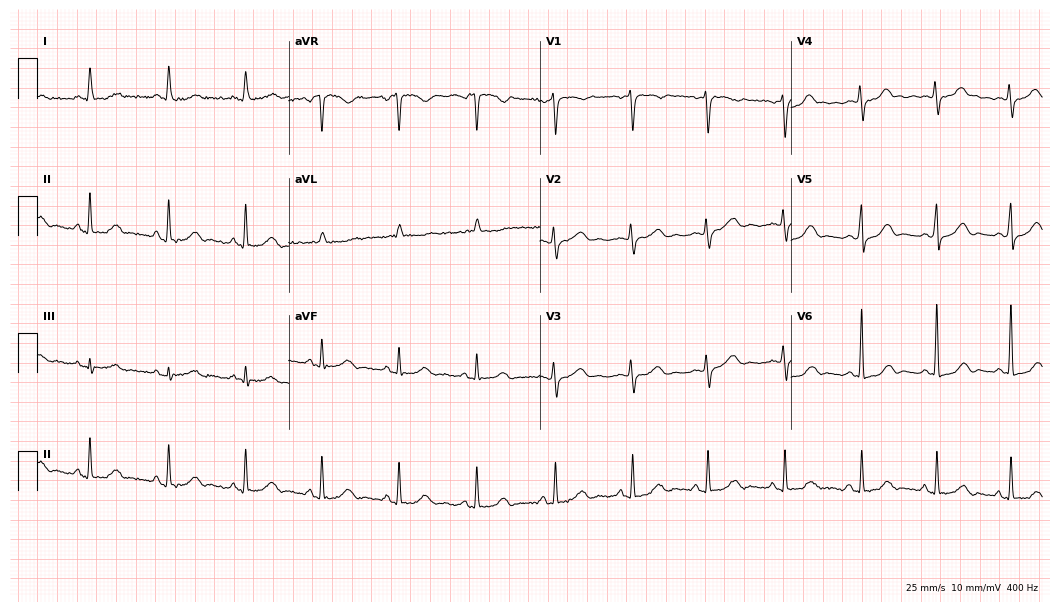
Standard 12-lead ECG recorded from a female patient, 55 years old (10.2-second recording at 400 Hz). Read as a normal ECG.